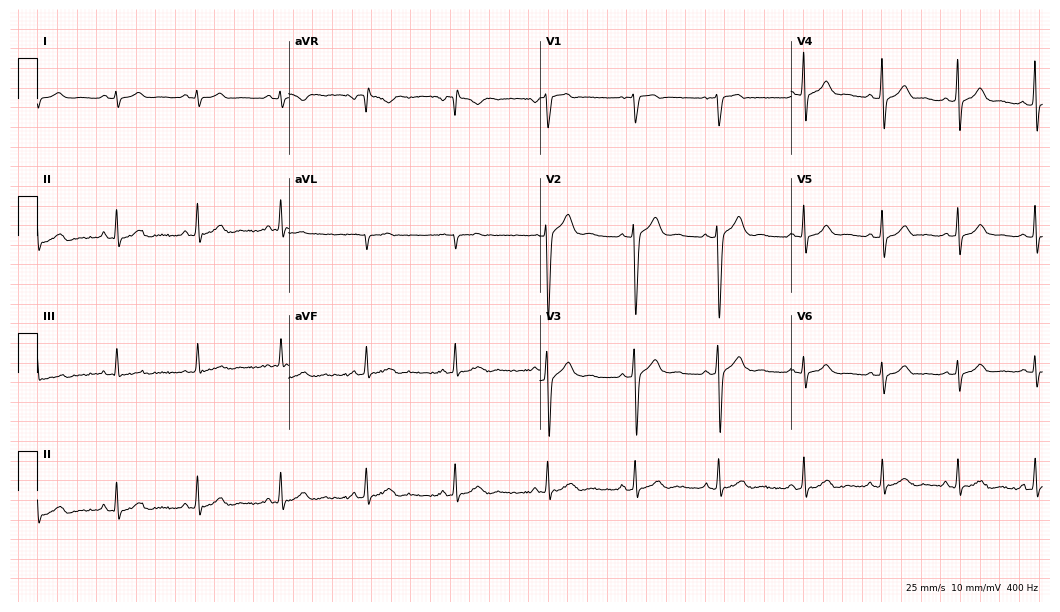
12-lead ECG (10.2-second recording at 400 Hz) from a man, 19 years old. Screened for six findings — first-degree AV block, right bundle branch block, left bundle branch block, sinus bradycardia, atrial fibrillation, sinus tachycardia — none is recorded. Only these six findings were labelled.